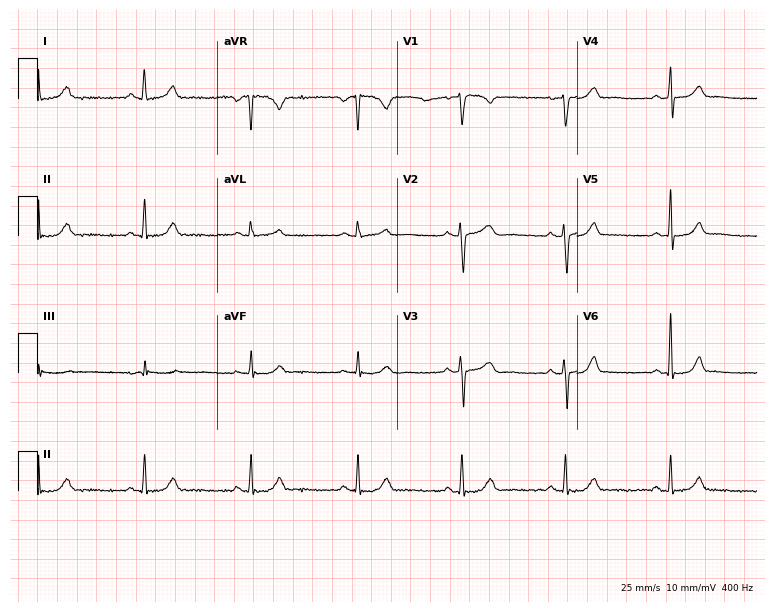
12-lead ECG from a female patient, 40 years old. Recorded interpretation: within normal limits.